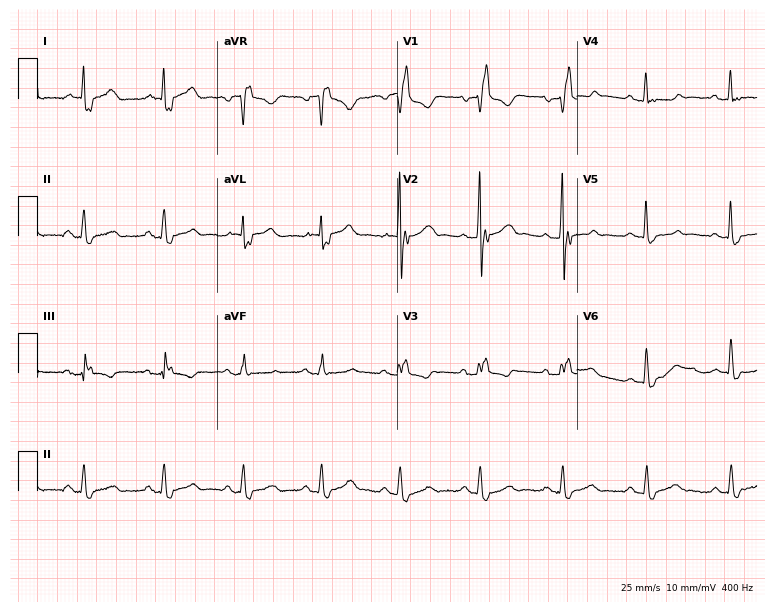
12-lead ECG from a male, 57 years old. Shows right bundle branch block (RBBB).